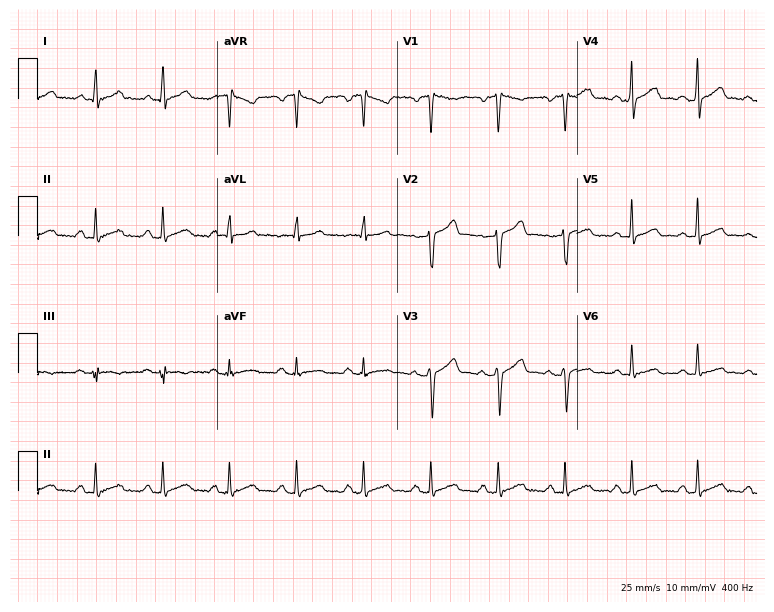
Electrocardiogram (7.3-second recording at 400 Hz), a male patient, 56 years old. Overall reading on record: normal ECG.